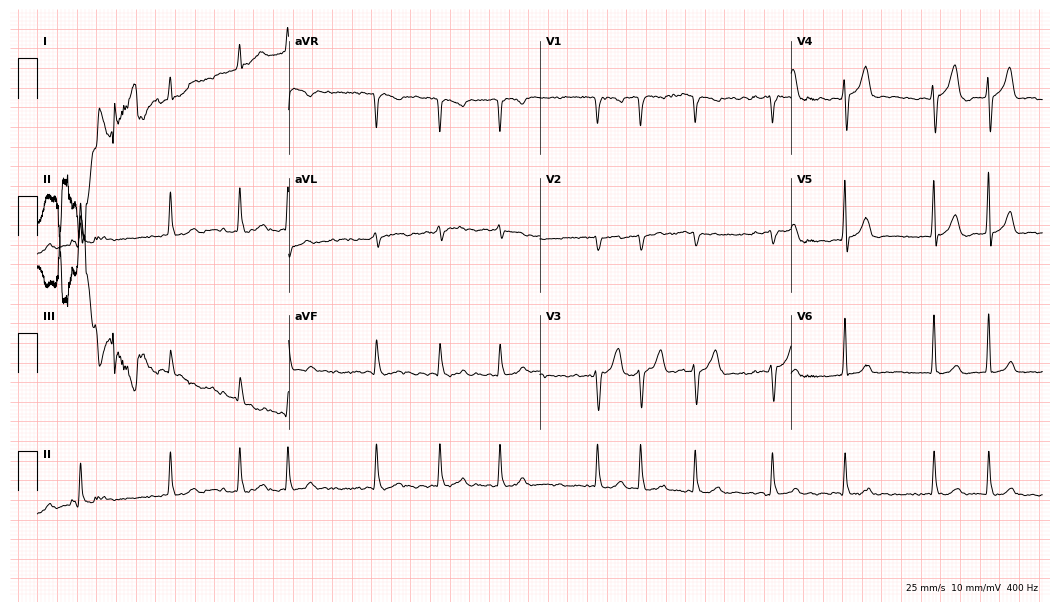
Standard 12-lead ECG recorded from a 76-year-old female patient (10.2-second recording at 400 Hz). None of these six findings is recorded: first-degree AV block, right bundle branch block (RBBB), left bundle branch block (LBBB), sinus bradycardia, atrial fibrillation (AF), sinus tachycardia.